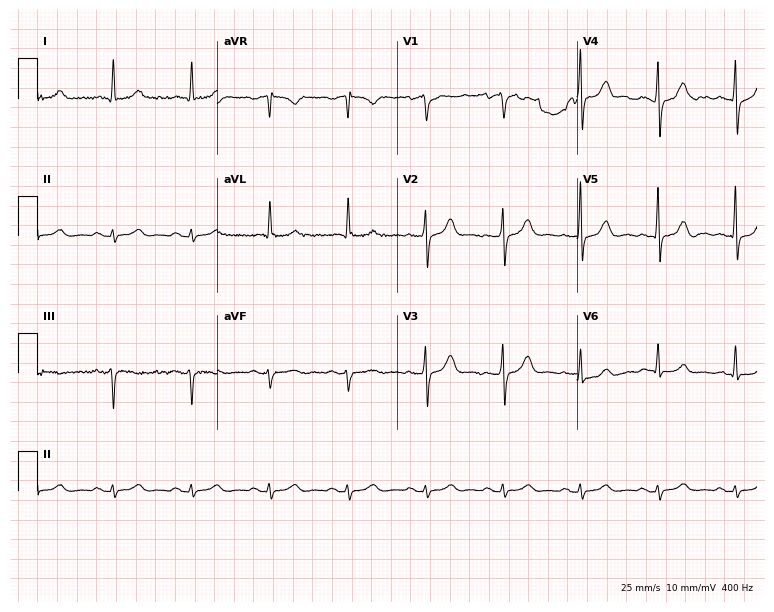
12-lead ECG from a man, 81 years old. No first-degree AV block, right bundle branch block (RBBB), left bundle branch block (LBBB), sinus bradycardia, atrial fibrillation (AF) or sinus tachycardia recorded for this tracing. Findings outside these six are not listed.